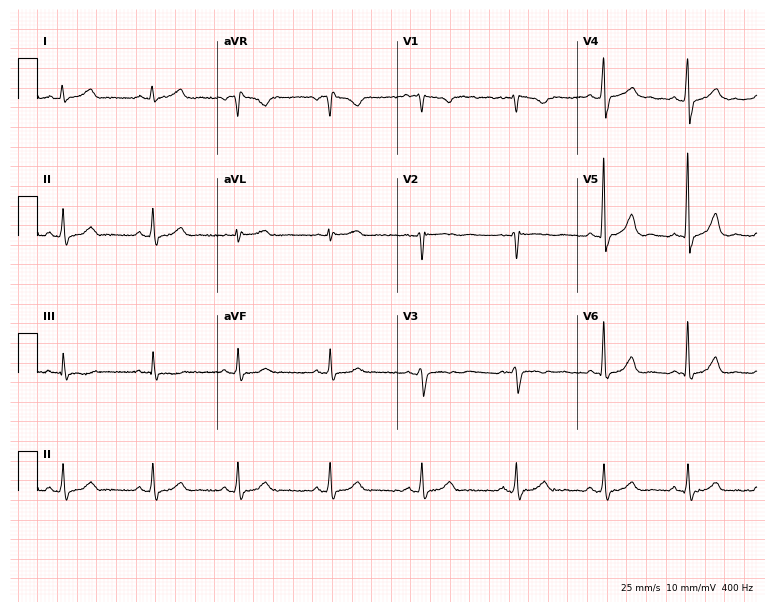
12-lead ECG from a 28-year-old female (7.3-second recording at 400 Hz). Recorded interpretation: within normal limits.